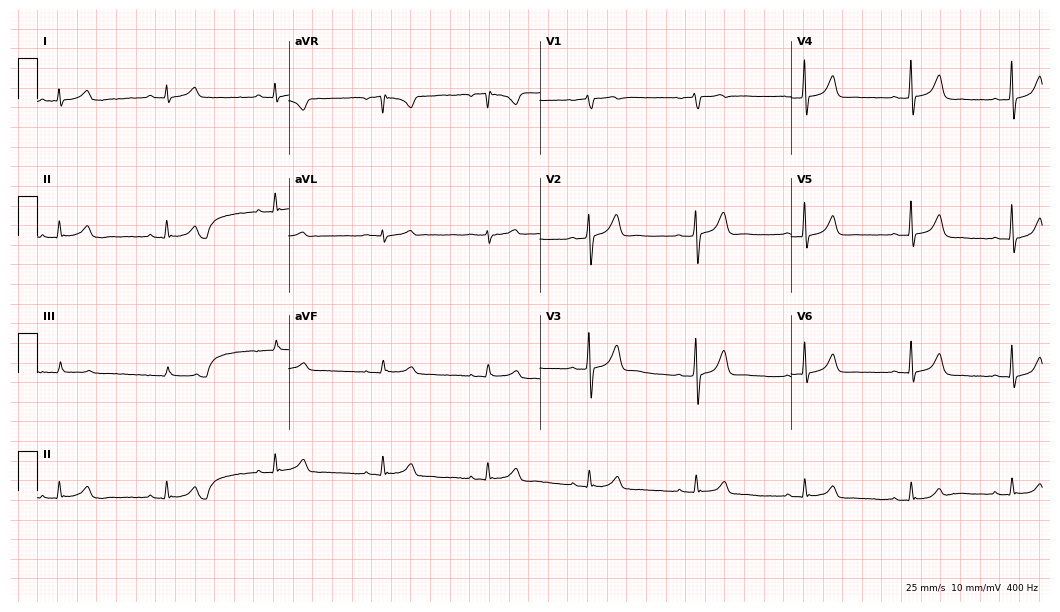
Electrocardiogram (10.2-second recording at 400 Hz), a male patient, 42 years old. Overall reading on record: normal ECG.